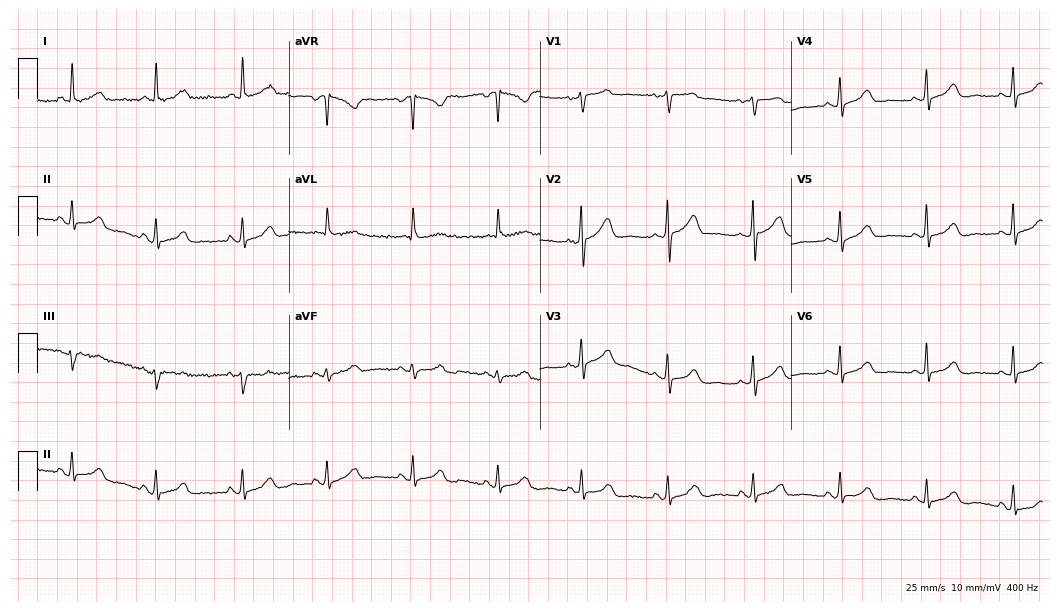
ECG — a female patient, 61 years old. Labelled as a normal ECG.